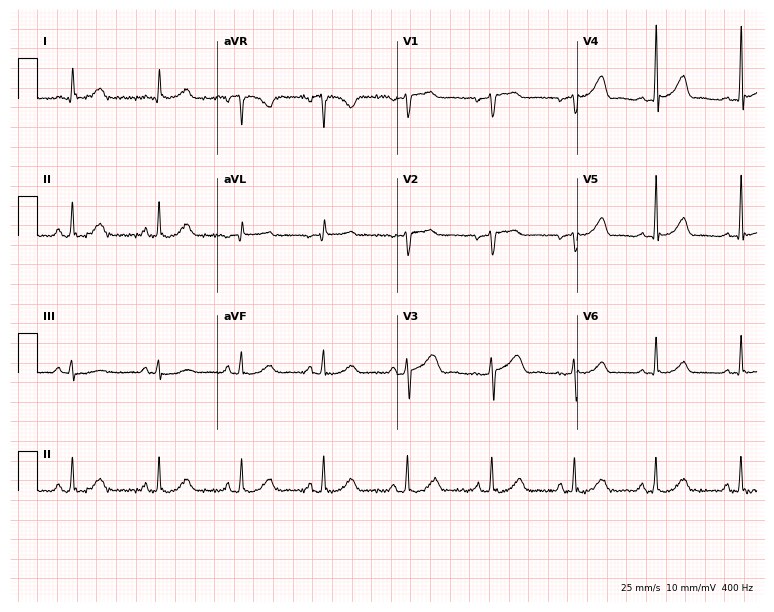
Standard 12-lead ECG recorded from a female patient, 45 years old. Read as a normal ECG.